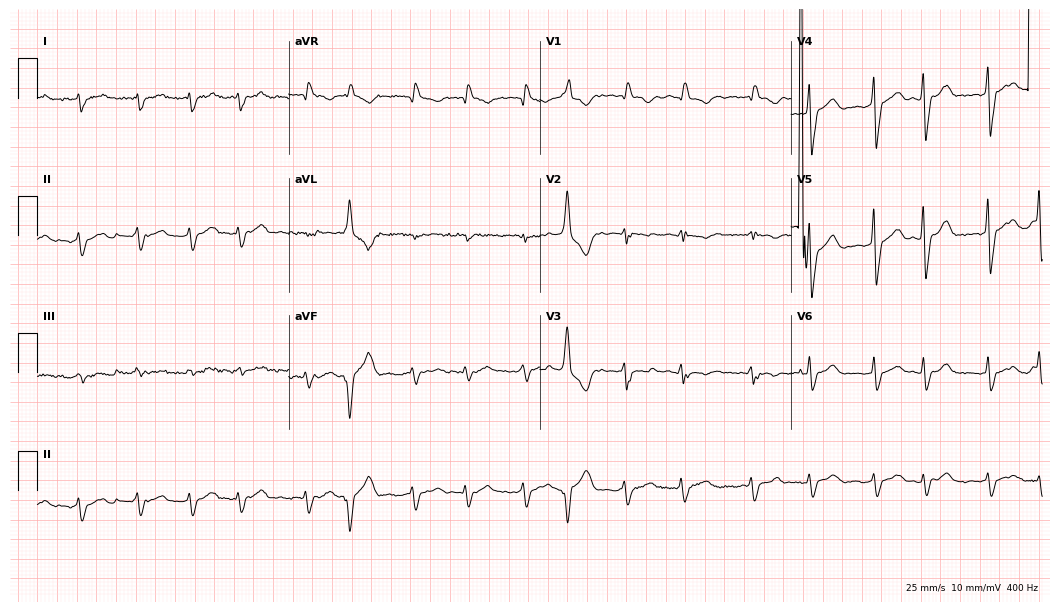
ECG (10.2-second recording at 400 Hz) — a male, 74 years old. Findings include right bundle branch block (RBBB), atrial fibrillation (AF), sinus tachycardia (a sinus rate of 100 beats per minute or more).